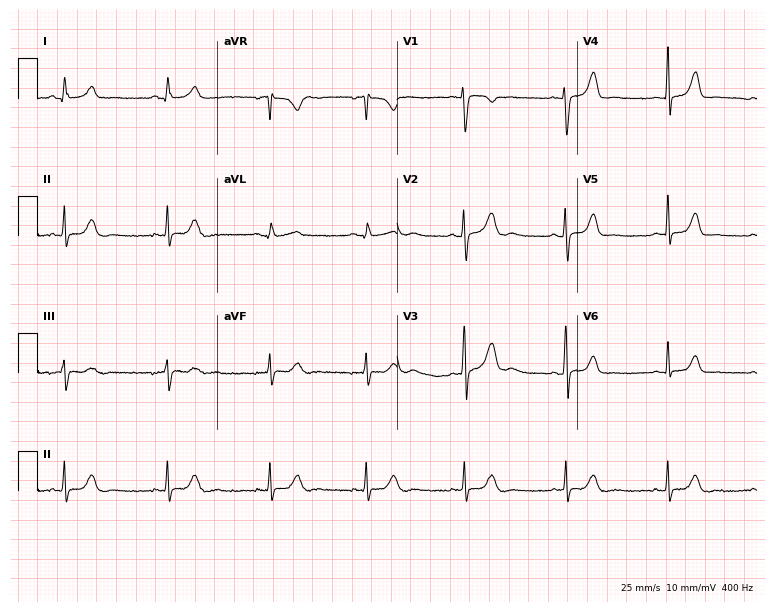
Electrocardiogram (7.3-second recording at 400 Hz), a woman, 20 years old. Of the six screened findings (first-degree AV block, right bundle branch block (RBBB), left bundle branch block (LBBB), sinus bradycardia, atrial fibrillation (AF), sinus tachycardia), none is recorded. Findings outside these six are not listed.